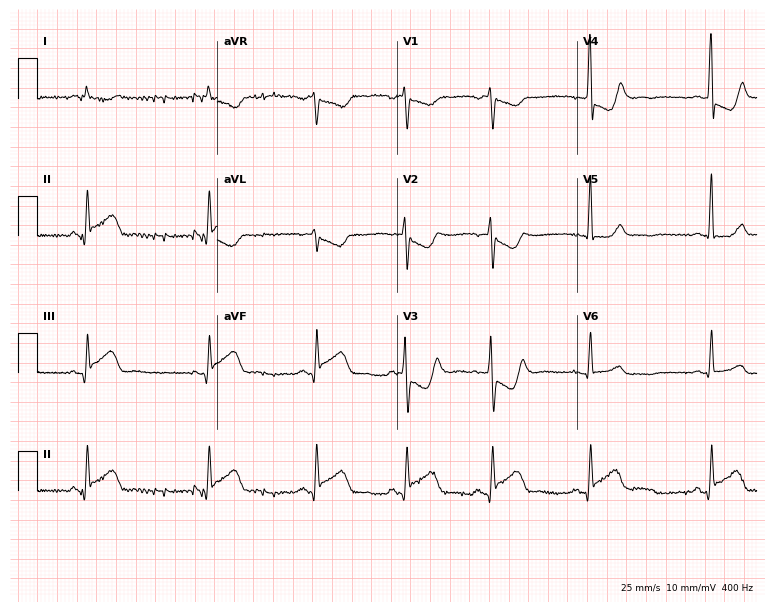
ECG (7.3-second recording at 400 Hz) — a male, 58 years old. Screened for six findings — first-degree AV block, right bundle branch block, left bundle branch block, sinus bradycardia, atrial fibrillation, sinus tachycardia — none is recorded.